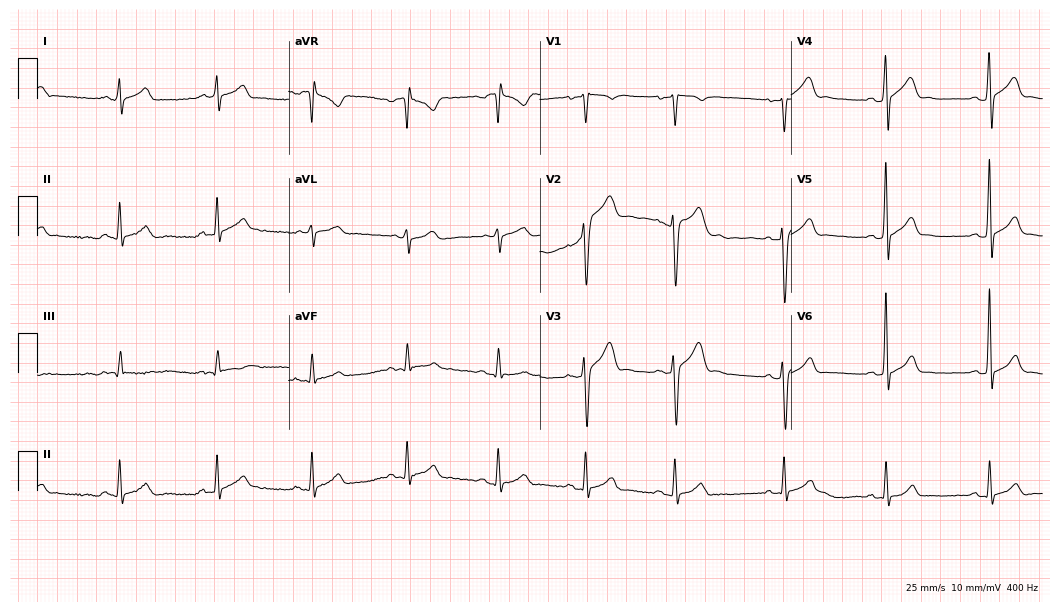
12-lead ECG from a male patient, 24 years old. Screened for six findings — first-degree AV block, right bundle branch block, left bundle branch block, sinus bradycardia, atrial fibrillation, sinus tachycardia — none is recorded. Only these six findings were labelled.